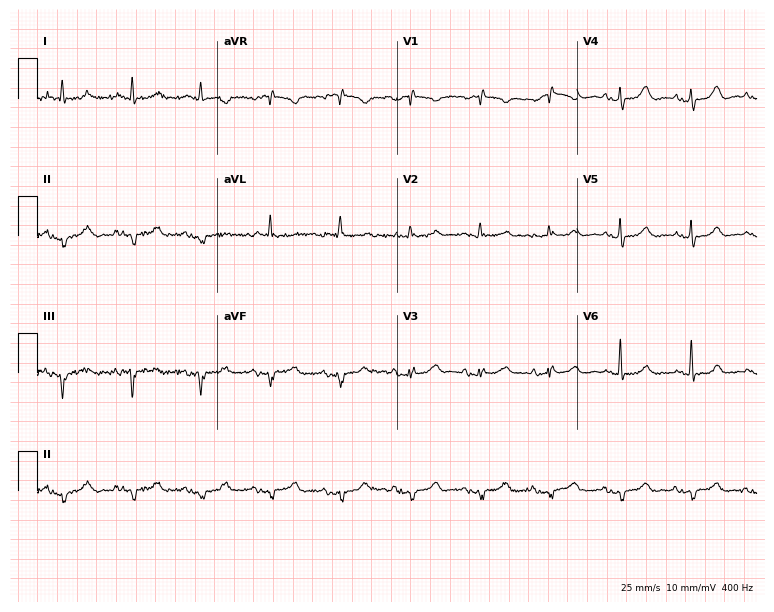
ECG (7.3-second recording at 400 Hz) — a 76-year-old woman. Screened for six findings — first-degree AV block, right bundle branch block, left bundle branch block, sinus bradycardia, atrial fibrillation, sinus tachycardia — none is recorded.